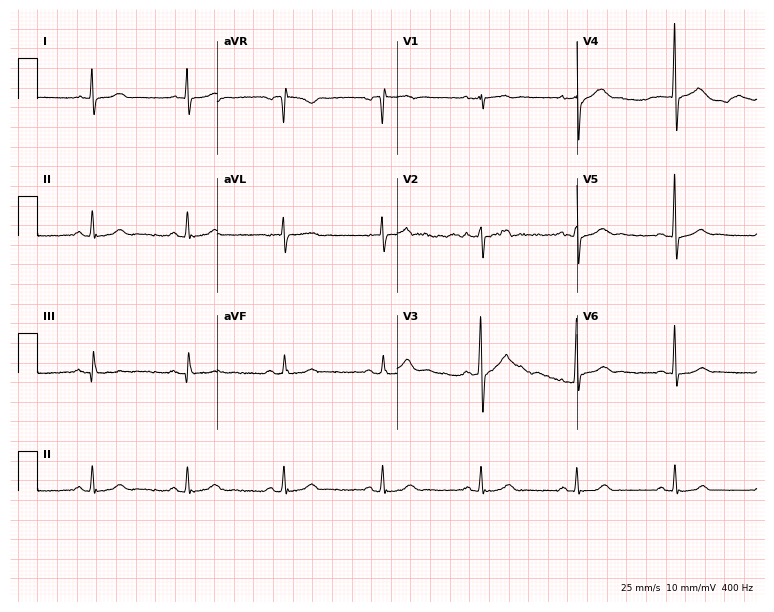
ECG — a 34-year-old male patient. Screened for six findings — first-degree AV block, right bundle branch block, left bundle branch block, sinus bradycardia, atrial fibrillation, sinus tachycardia — none is recorded. Other findings, if any, are not listed.